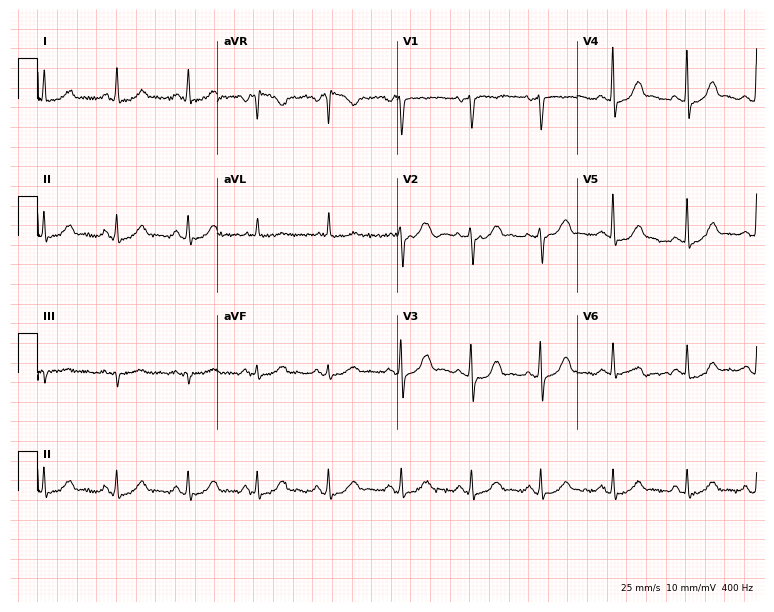
ECG (7.3-second recording at 400 Hz) — a 50-year-old woman. Screened for six findings — first-degree AV block, right bundle branch block, left bundle branch block, sinus bradycardia, atrial fibrillation, sinus tachycardia — none is recorded. Findings outside these six are not listed.